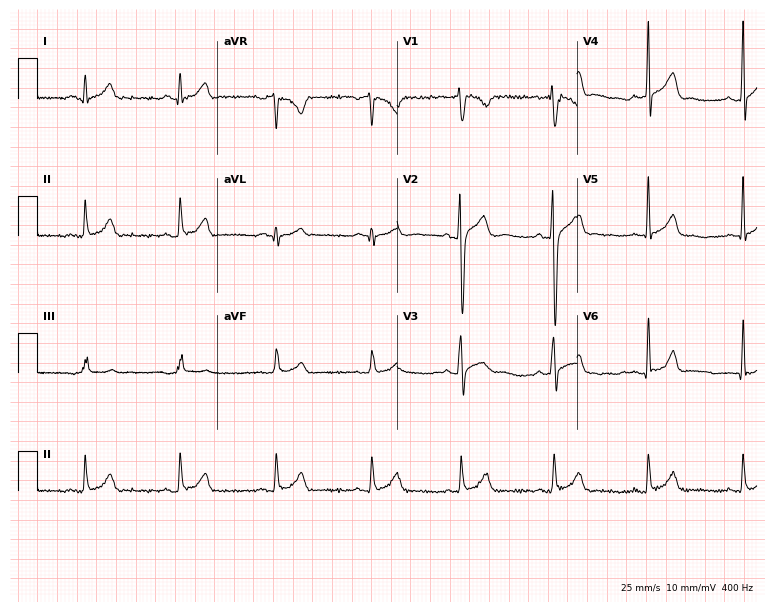
Resting 12-lead electrocardiogram (7.3-second recording at 400 Hz). Patient: a male, 25 years old. None of these six findings is recorded: first-degree AV block, right bundle branch block, left bundle branch block, sinus bradycardia, atrial fibrillation, sinus tachycardia.